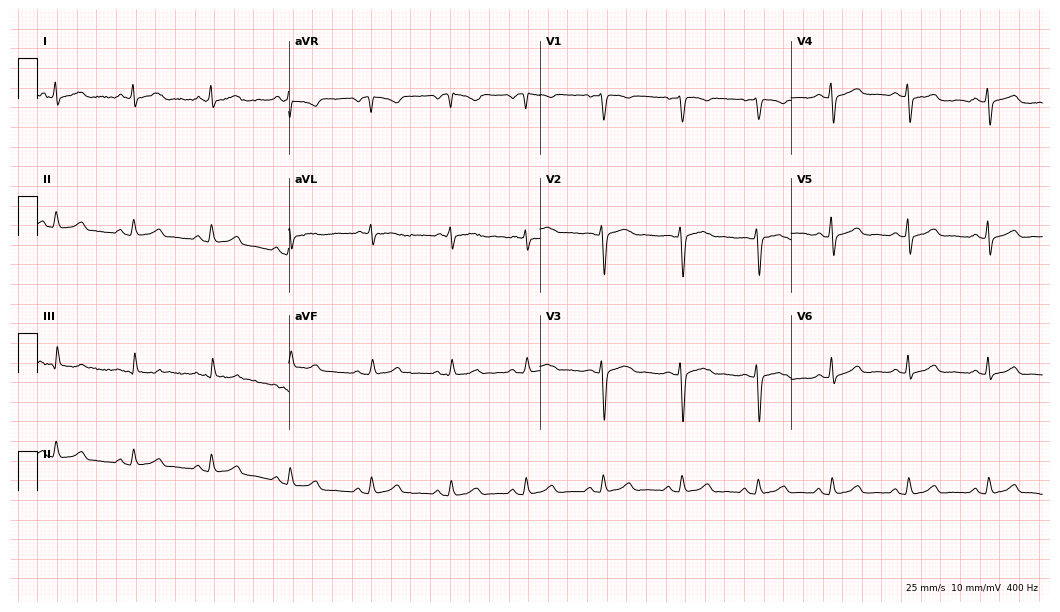
ECG (10.2-second recording at 400 Hz) — a female, 39 years old. Labelled as a normal ECG.